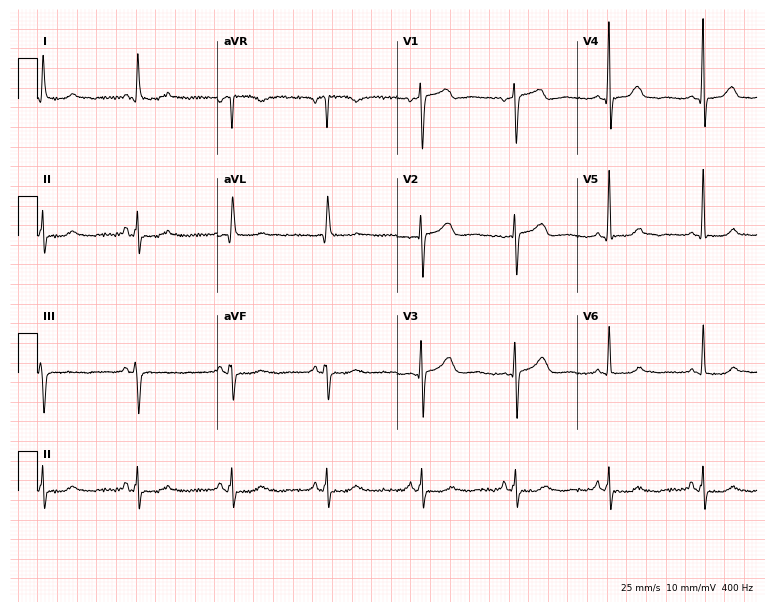
12-lead ECG from a male, 77 years old (7.3-second recording at 400 Hz). No first-degree AV block, right bundle branch block, left bundle branch block, sinus bradycardia, atrial fibrillation or sinus tachycardia recorded for this tracing.